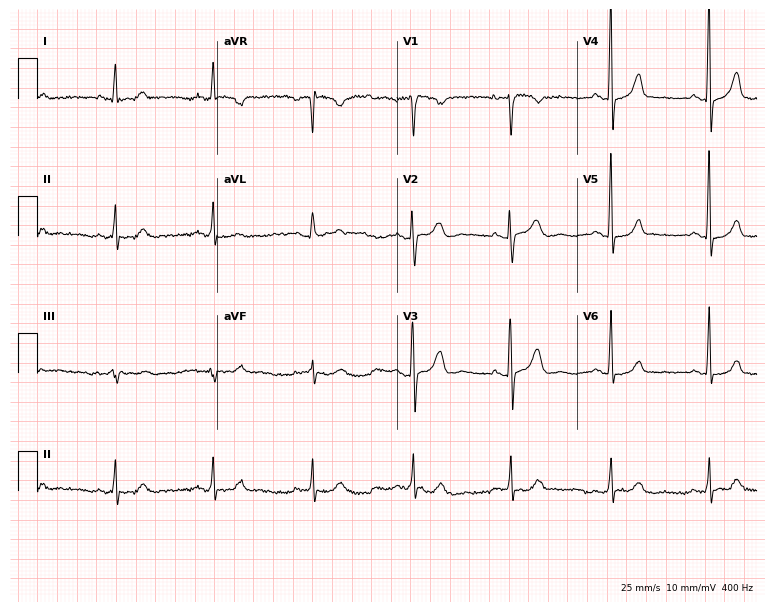
Standard 12-lead ECG recorded from a 55-year-old female (7.3-second recording at 400 Hz). Read as a normal ECG.